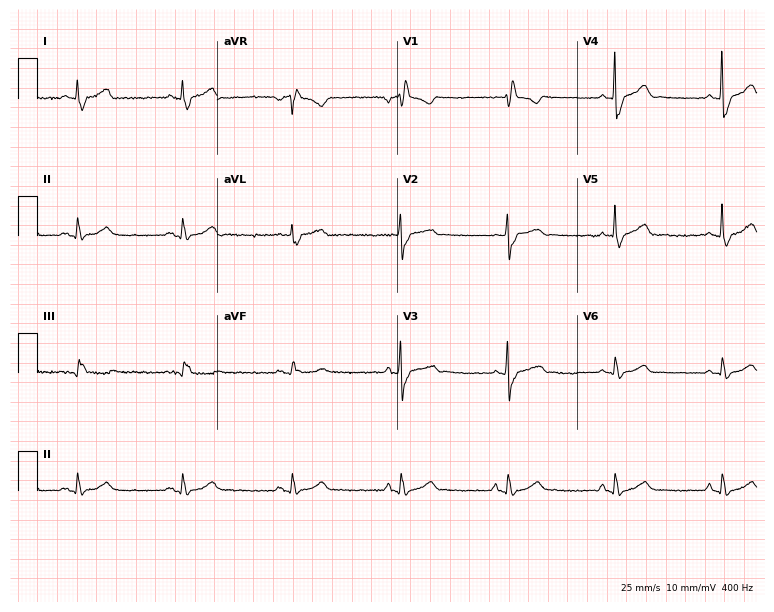
Resting 12-lead electrocardiogram (7.3-second recording at 400 Hz). Patient: a 75-year-old man. The tracing shows right bundle branch block (RBBB).